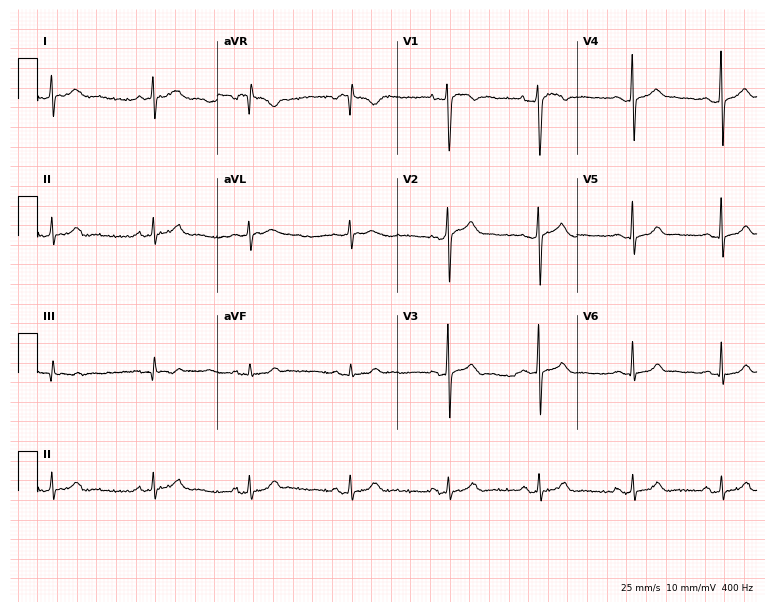
Electrocardiogram (7.3-second recording at 400 Hz), a man, 29 years old. Overall reading on record: normal ECG.